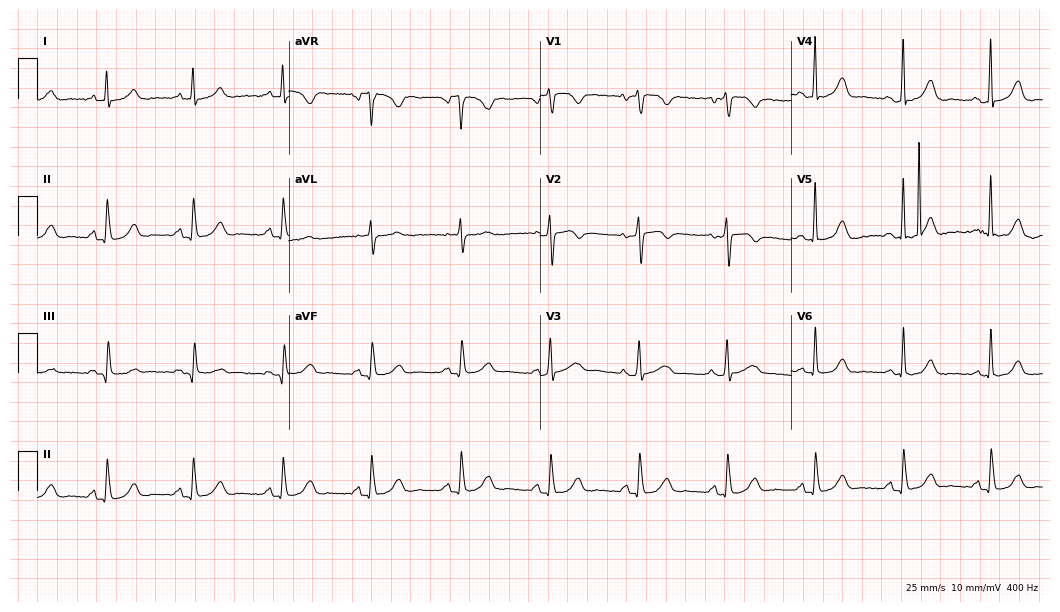
Standard 12-lead ECG recorded from a female, 64 years old. Read as a normal ECG.